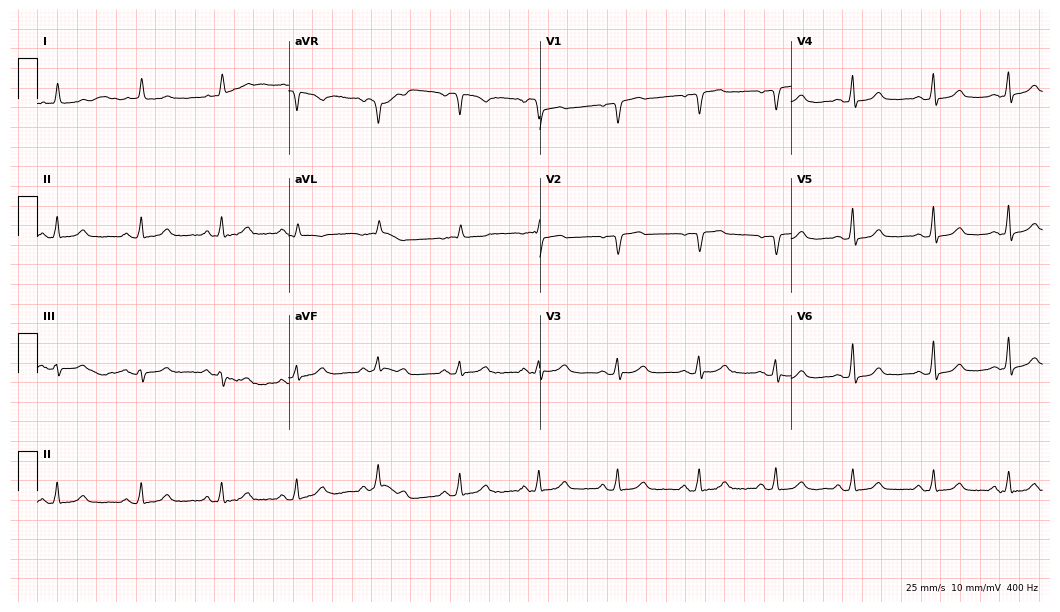
12-lead ECG from a female, 85 years old. No first-degree AV block, right bundle branch block (RBBB), left bundle branch block (LBBB), sinus bradycardia, atrial fibrillation (AF) or sinus tachycardia recorded for this tracing. Only these six findings were labelled.